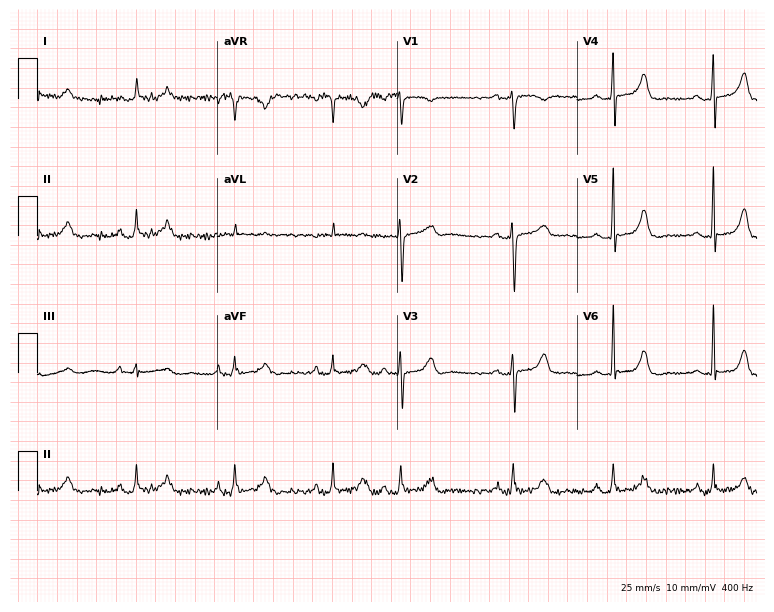
Standard 12-lead ECG recorded from a 65-year-old female (7.3-second recording at 400 Hz). None of these six findings is recorded: first-degree AV block, right bundle branch block (RBBB), left bundle branch block (LBBB), sinus bradycardia, atrial fibrillation (AF), sinus tachycardia.